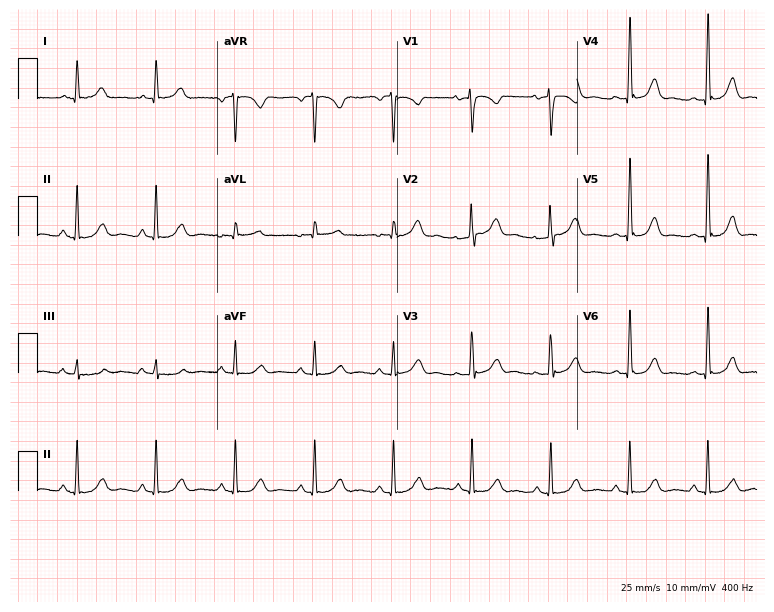
12-lead ECG from a female, 61 years old. Recorded interpretation: within normal limits.